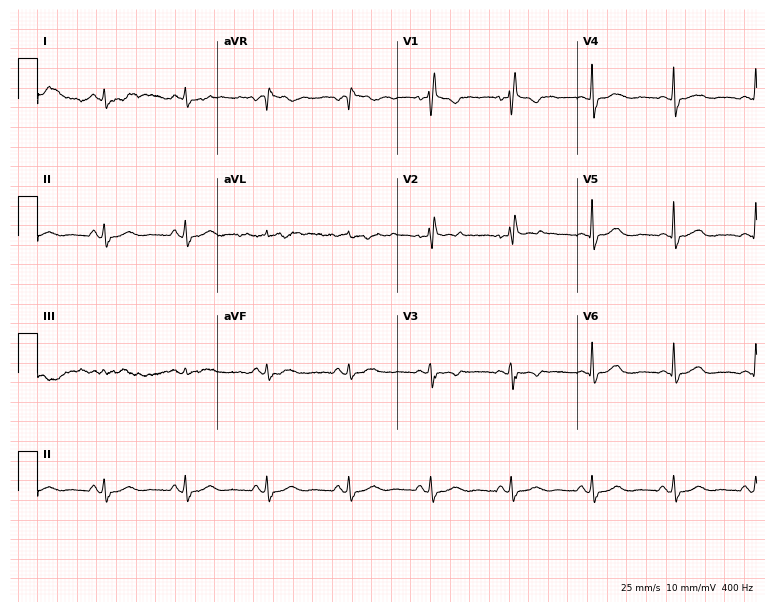
Resting 12-lead electrocardiogram. Patient: a female, 49 years old. None of these six findings is recorded: first-degree AV block, right bundle branch block, left bundle branch block, sinus bradycardia, atrial fibrillation, sinus tachycardia. Findings outside these six are not listed.